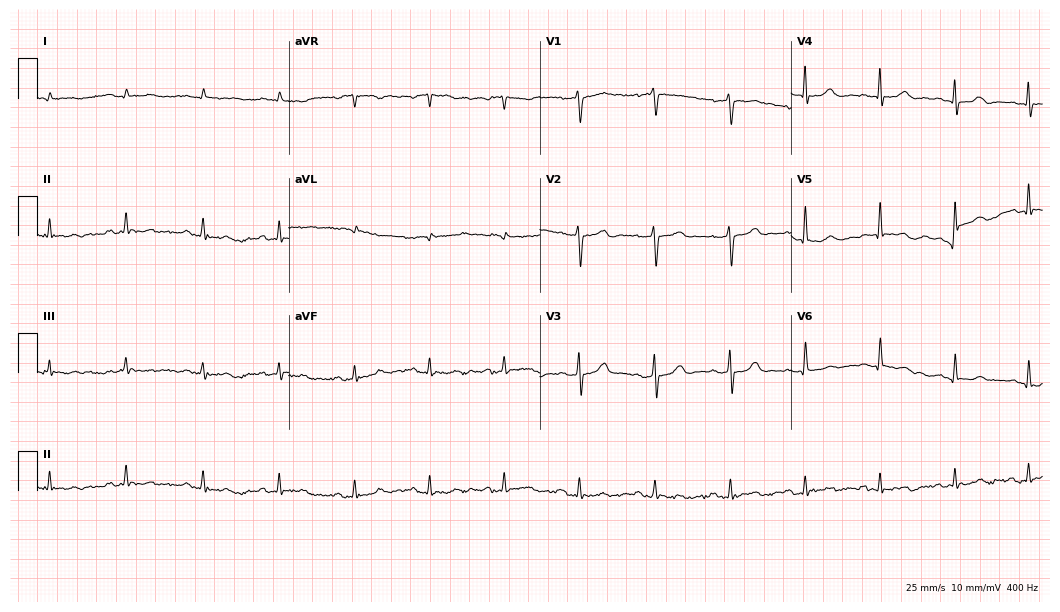
Electrocardiogram (10.2-second recording at 400 Hz), an 81-year-old male. Overall reading on record: normal ECG.